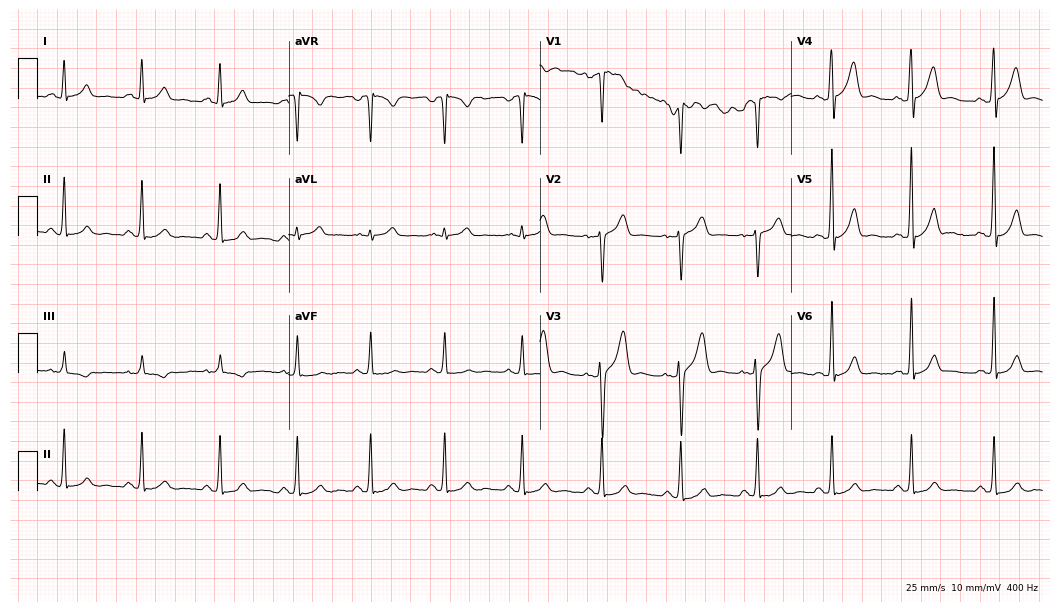
Standard 12-lead ECG recorded from a male patient, 31 years old. Read as a normal ECG.